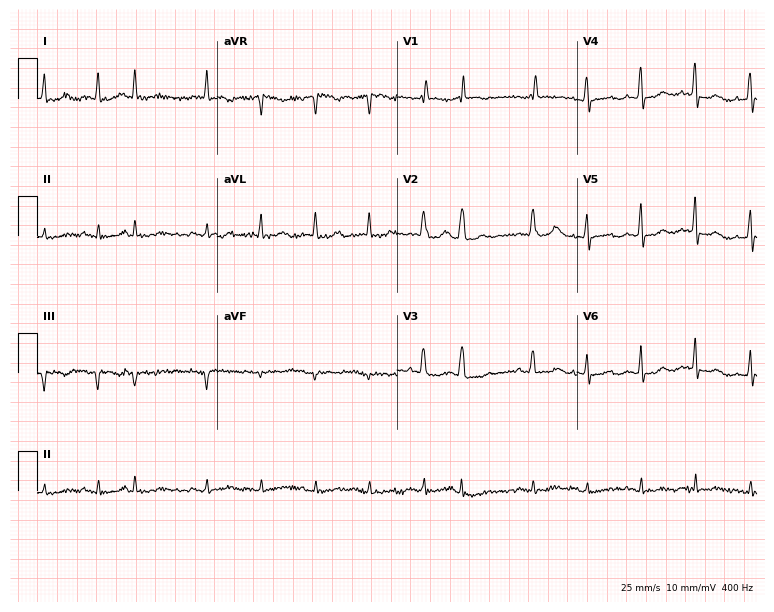
Resting 12-lead electrocardiogram. Patient: a woman, 74 years old. The tracing shows atrial fibrillation, sinus tachycardia (a sinus rate of 100 beats per minute or more).